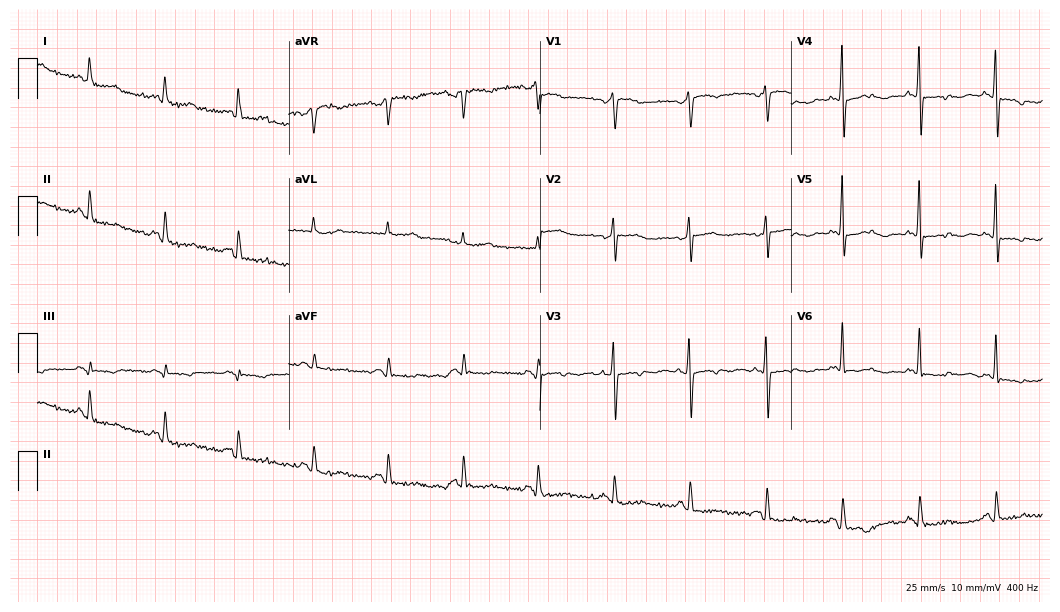
12-lead ECG (10.2-second recording at 400 Hz) from a female patient, 72 years old. Screened for six findings — first-degree AV block, right bundle branch block, left bundle branch block, sinus bradycardia, atrial fibrillation, sinus tachycardia — none is recorded.